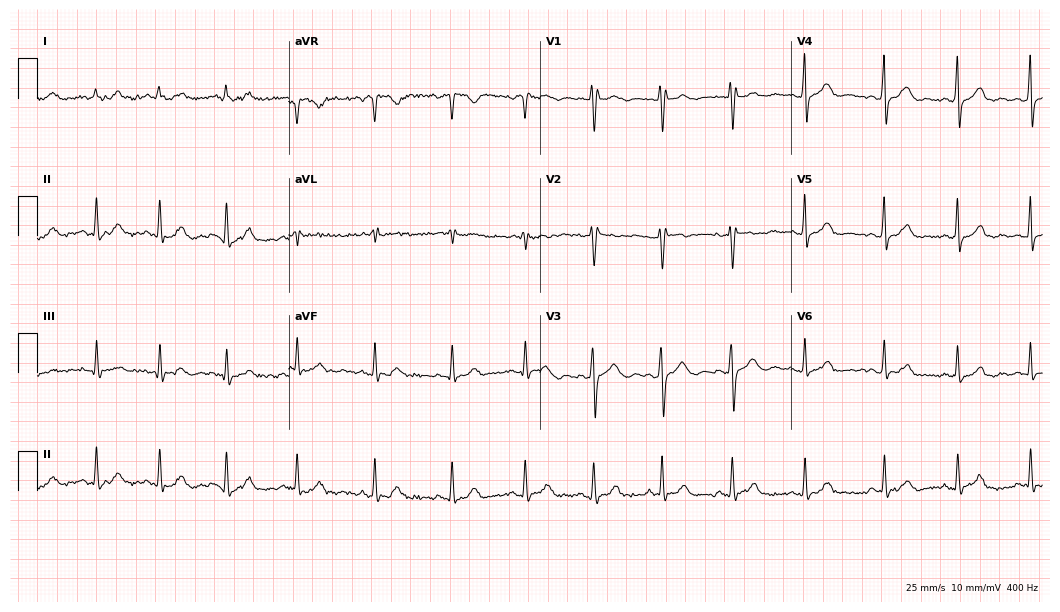
ECG — a female patient, 24 years old. Labelled as a normal ECG.